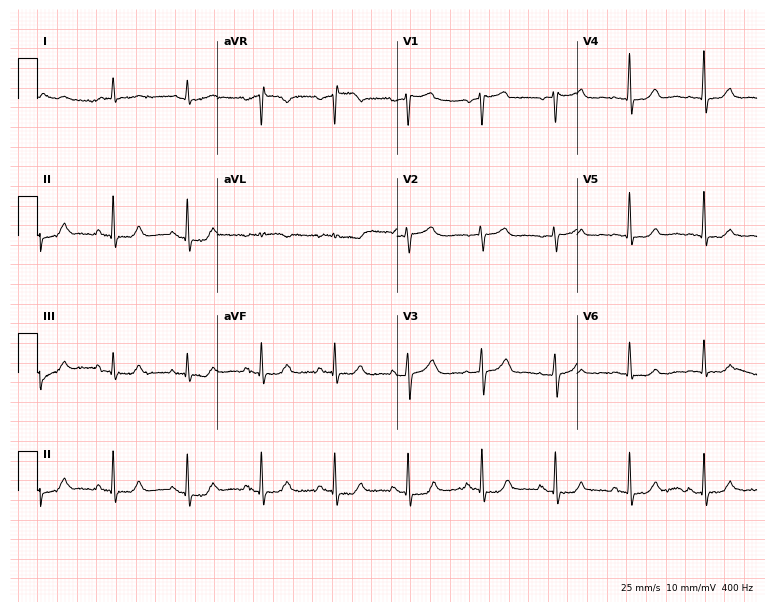
ECG (7.3-second recording at 400 Hz) — a man, 76 years old. Screened for six findings — first-degree AV block, right bundle branch block (RBBB), left bundle branch block (LBBB), sinus bradycardia, atrial fibrillation (AF), sinus tachycardia — none is recorded.